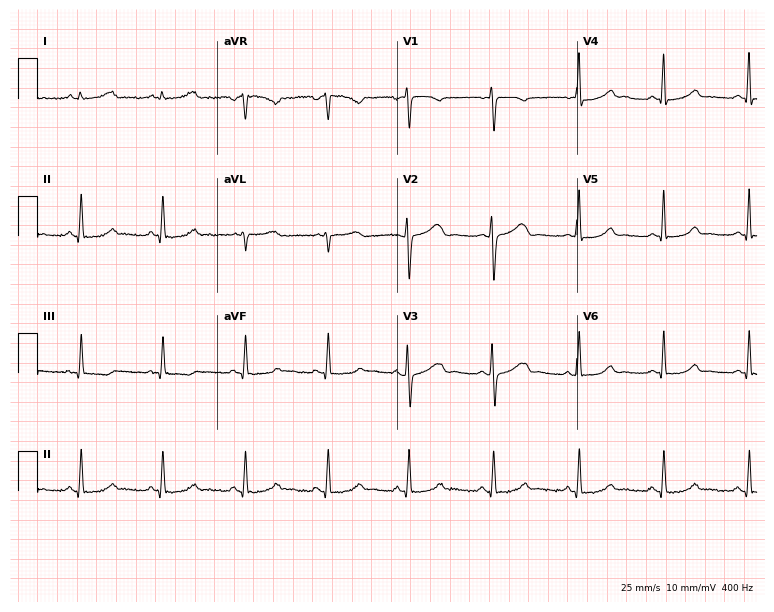
12-lead ECG from a woman, 44 years old. No first-degree AV block, right bundle branch block, left bundle branch block, sinus bradycardia, atrial fibrillation or sinus tachycardia recorded for this tracing. Other findings, if any, are not listed.